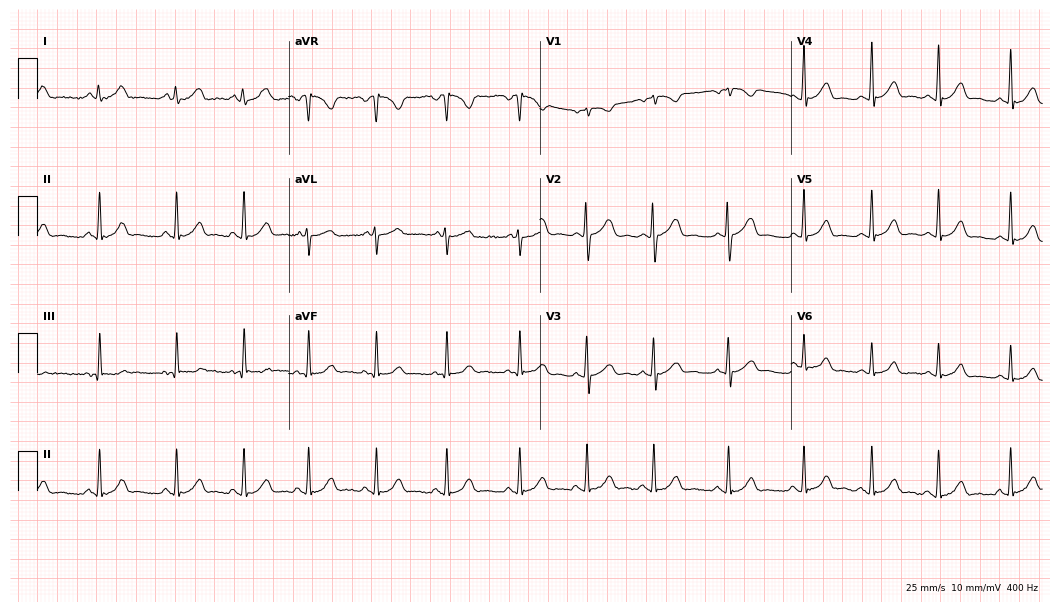
12-lead ECG from a 19-year-old female patient. Labelled as a normal ECG.